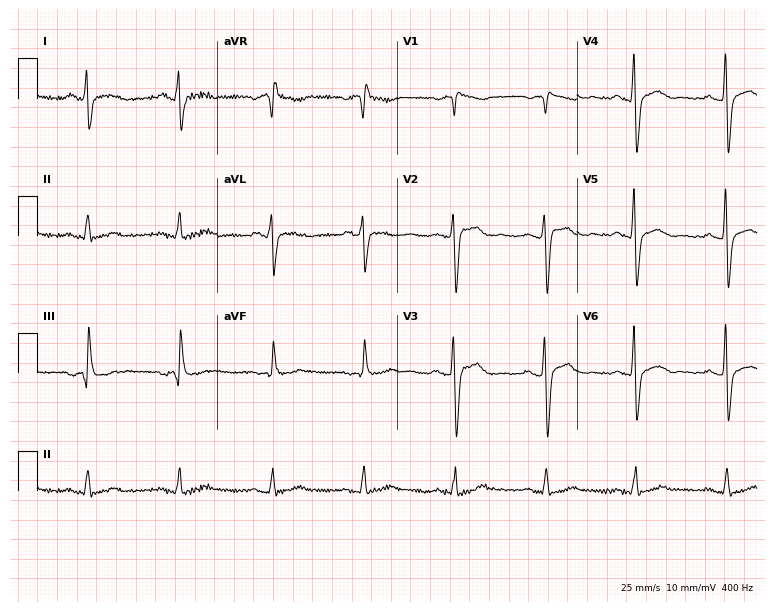
Resting 12-lead electrocardiogram (7.3-second recording at 400 Hz). Patient: a male, 44 years old. None of these six findings is recorded: first-degree AV block, right bundle branch block, left bundle branch block, sinus bradycardia, atrial fibrillation, sinus tachycardia. Findings outside these six are not listed.